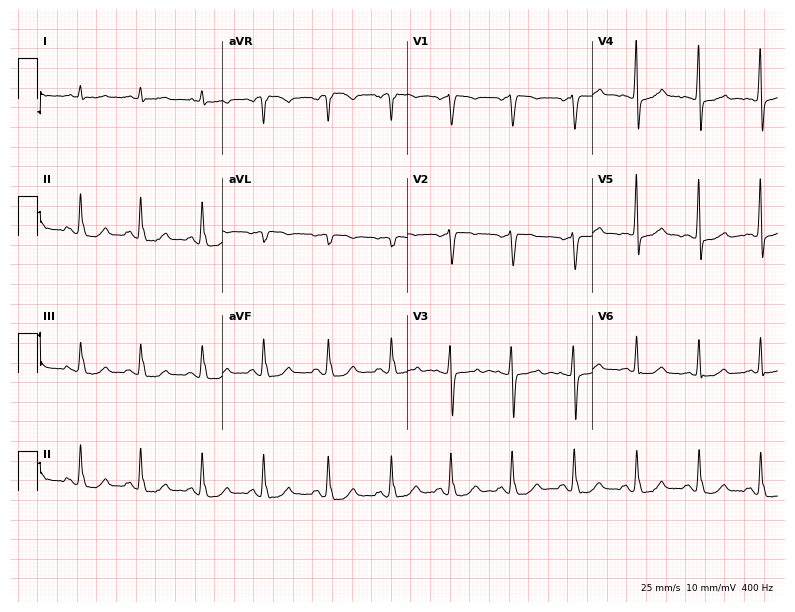
Standard 12-lead ECG recorded from a woman, 68 years old (7.5-second recording at 400 Hz). Read as a normal ECG.